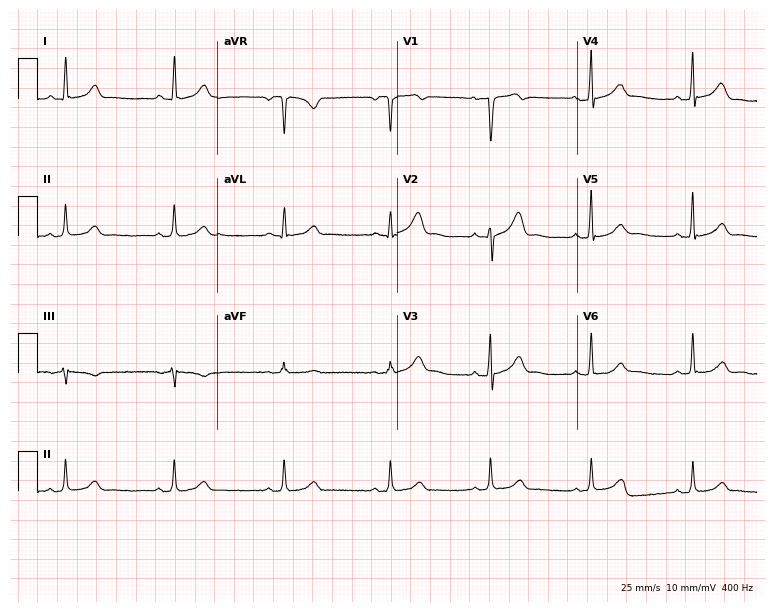
12-lead ECG (7.3-second recording at 400 Hz) from a 38-year-old male patient. Labelled as a normal ECG.